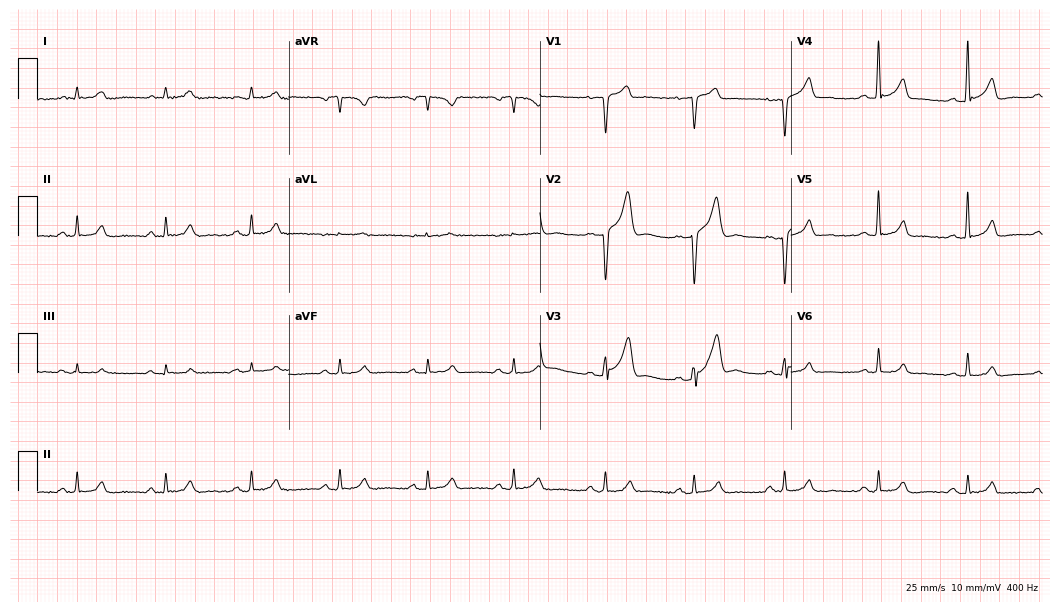
12-lead ECG from a male patient, 43 years old. No first-degree AV block, right bundle branch block (RBBB), left bundle branch block (LBBB), sinus bradycardia, atrial fibrillation (AF) or sinus tachycardia recorded for this tracing. Other findings, if any, are not listed.